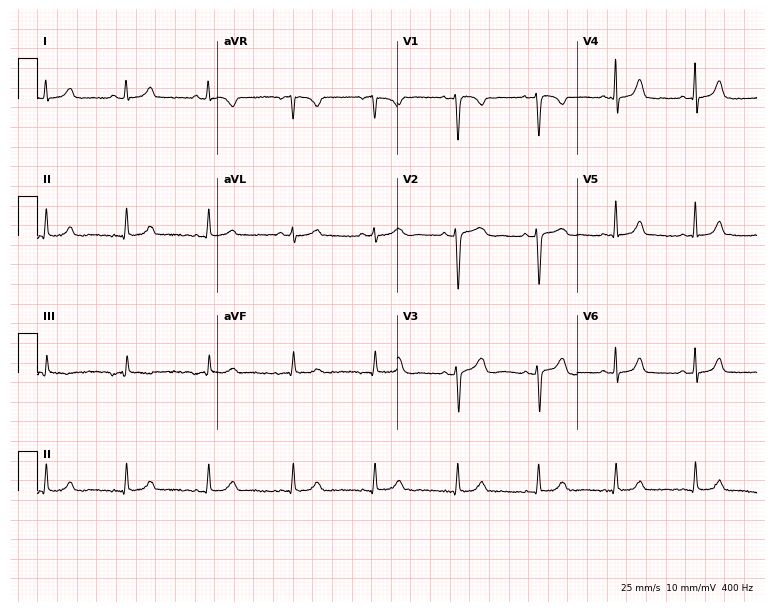
Resting 12-lead electrocardiogram. Patient: a female, 19 years old. None of these six findings is recorded: first-degree AV block, right bundle branch block, left bundle branch block, sinus bradycardia, atrial fibrillation, sinus tachycardia. Only these six findings were labelled.